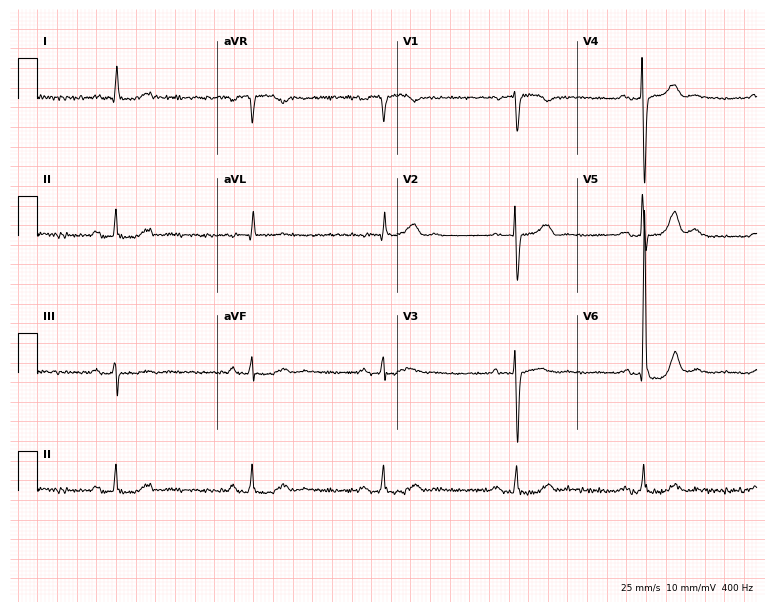
ECG (7.3-second recording at 400 Hz) — a male patient, 79 years old. Screened for six findings — first-degree AV block, right bundle branch block, left bundle branch block, sinus bradycardia, atrial fibrillation, sinus tachycardia — none is recorded. Only these six findings were labelled.